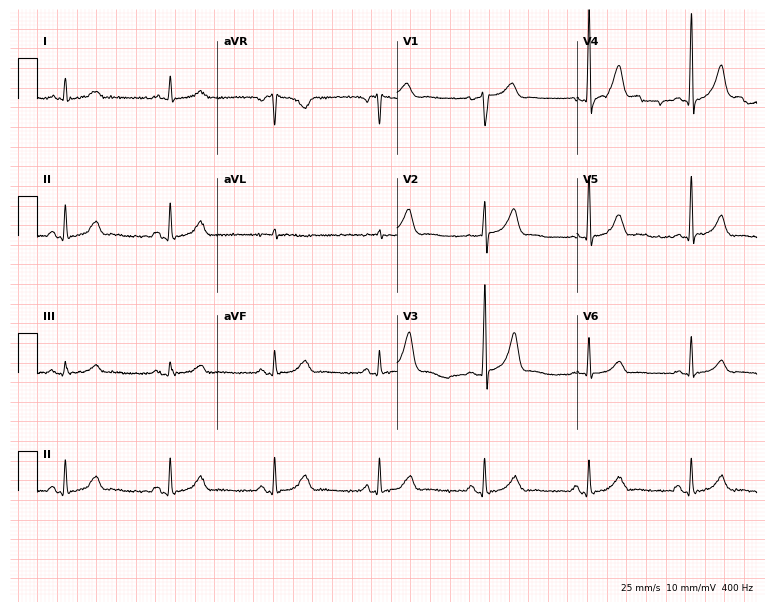
ECG — a male, 63 years old. Labelled as a normal ECG.